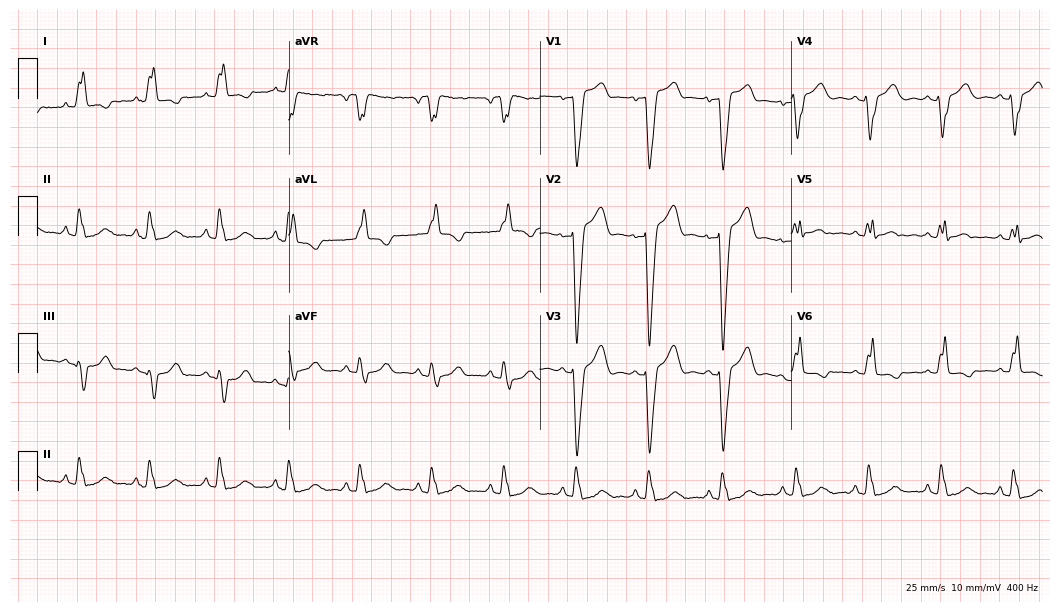
ECG (10.2-second recording at 400 Hz) — a female, 59 years old. Findings include left bundle branch block.